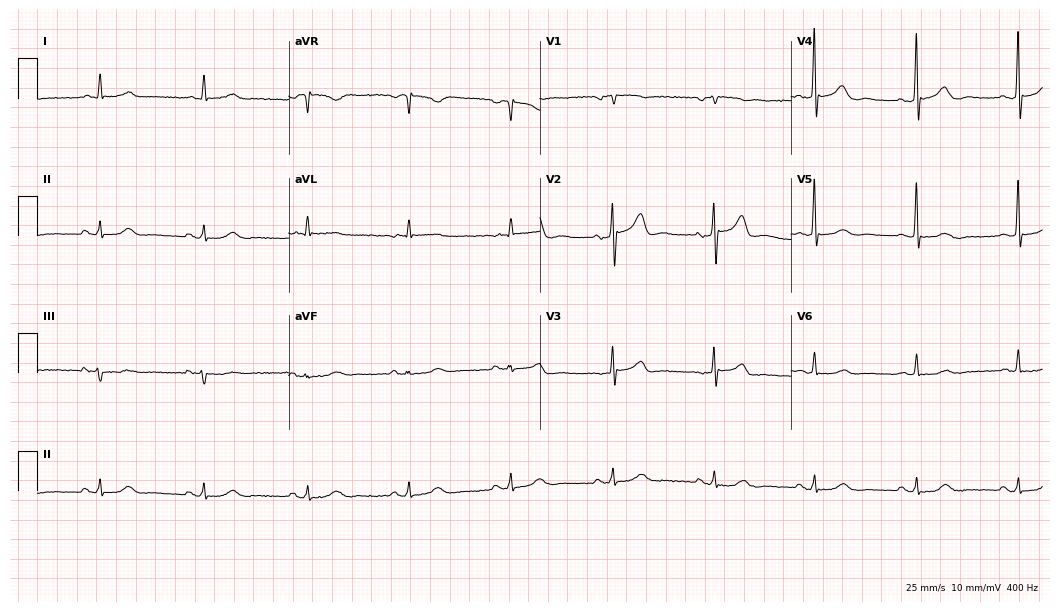
ECG — a female, 84 years old. Screened for six findings — first-degree AV block, right bundle branch block, left bundle branch block, sinus bradycardia, atrial fibrillation, sinus tachycardia — none is recorded. Other findings, if any, are not listed.